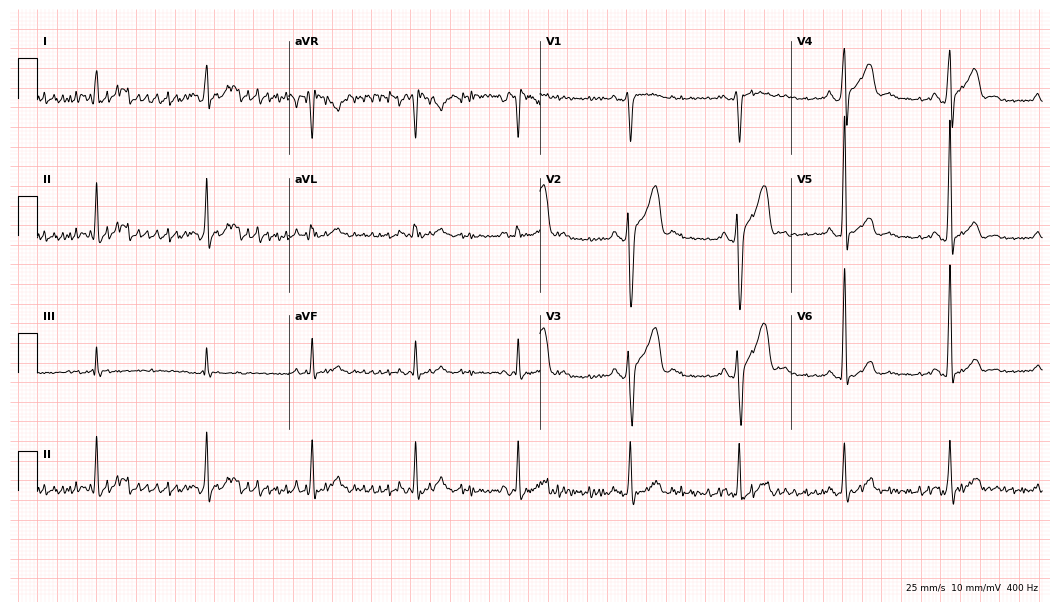
Electrocardiogram (10.2-second recording at 400 Hz), a male patient, 26 years old. Of the six screened findings (first-degree AV block, right bundle branch block, left bundle branch block, sinus bradycardia, atrial fibrillation, sinus tachycardia), none is recorded.